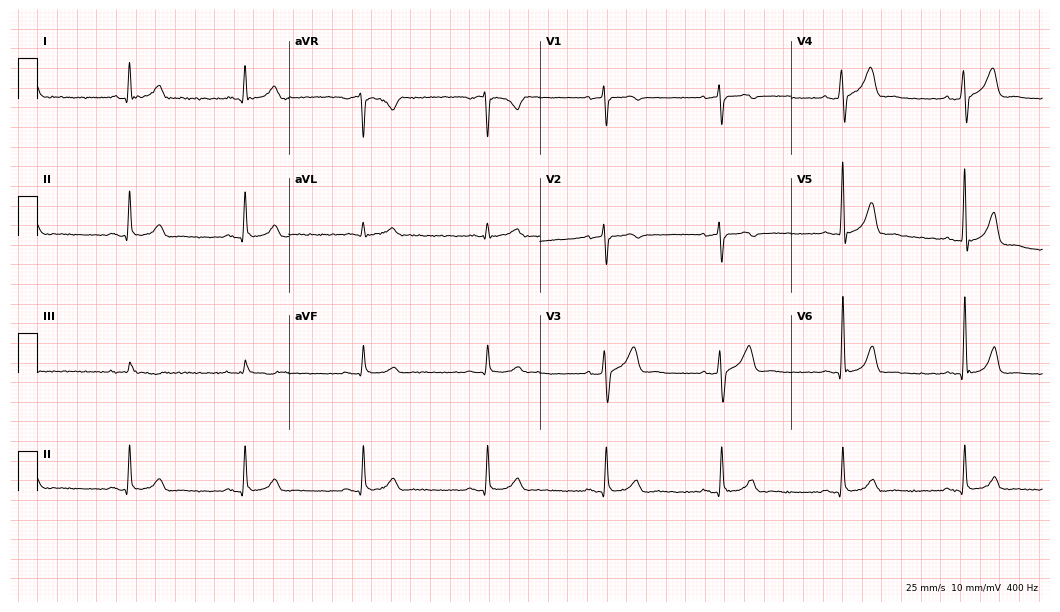
Electrocardiogram, a 46-year-old male patient. Interpretation includes sinus bradycardia (a sinus rate of 50 beats per minute or less).